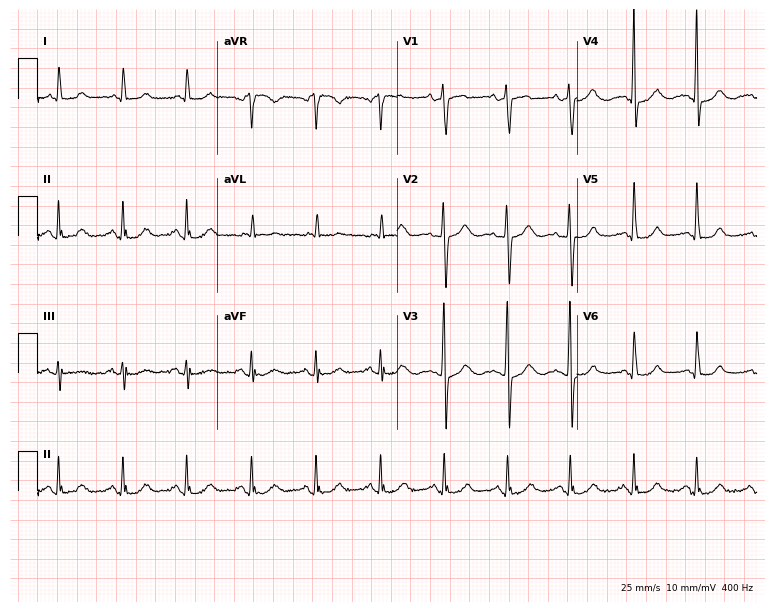
Electrocardiogram, a 70-year-old woman. Of the six screened findings (first-degree AV block, right bundle branch block (RBBB), left bundle branch block (LBBB), sinus bradycardia, atrial fibrillation (AF), sinus tachycardia), none is recorded.